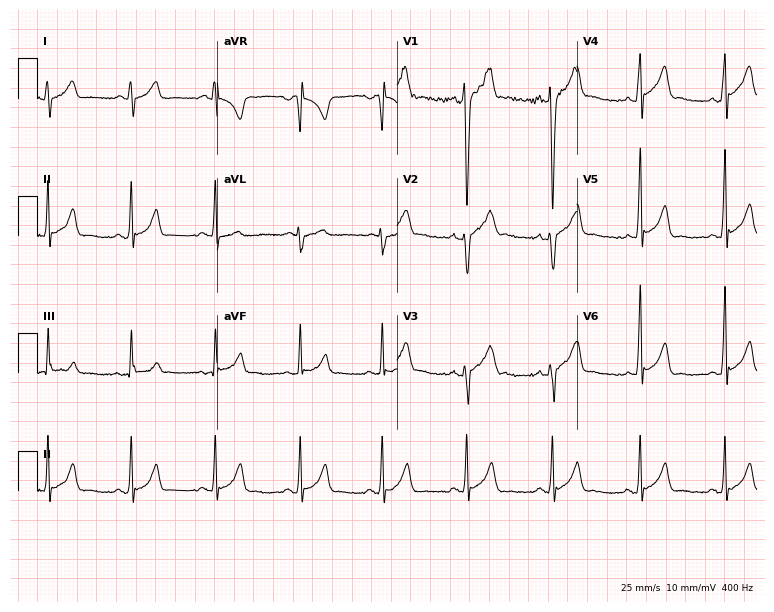
Standard 12-lead ECG recorded from a male patient, 18 years old. Read as a normal ECG.